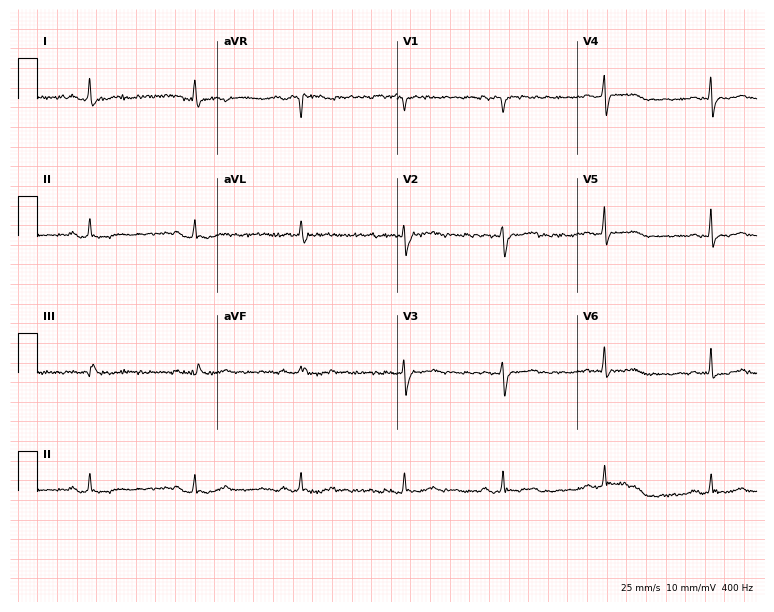
ECG (7.3-second recording at 400 Hz) — a female patient, 50 years old. Labelled as a normal ECG.